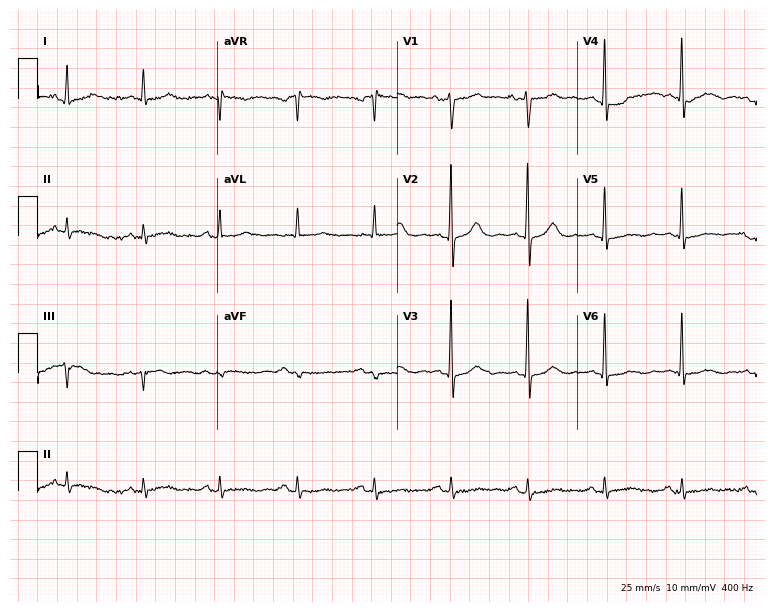
Electrocardiogram, a 70-year-old male. Of the six screened findings (first-degree AV block, right bundle branch block (RBBB), left bundle branch block (LBBB), sinus bradycardia, atrial fibrillation (AF), sinus tachycardia), none is recorded.